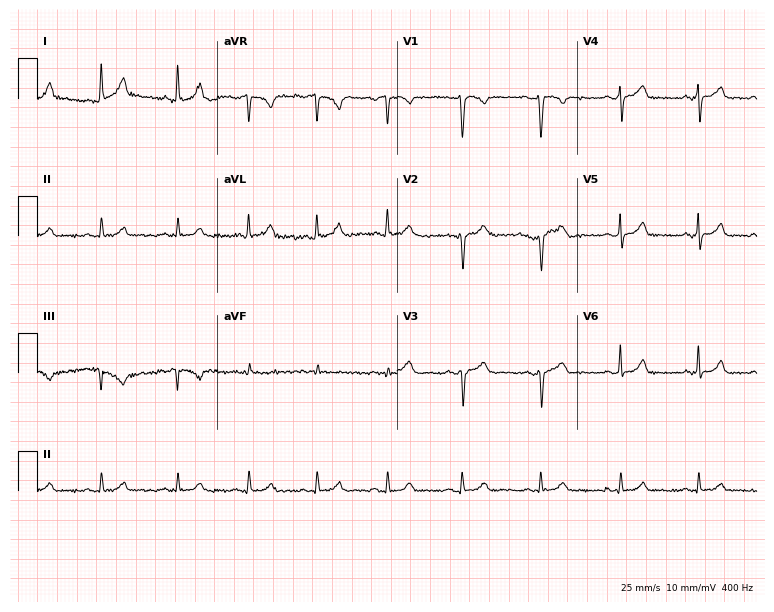
ECG — a female patient, 23 years old. Screened for six findings — first-degree AV block, right bundle branch block, left bundle branch block, sinus bradycardia, atrial fibrillation, sinus tachycardia — none is recorded.